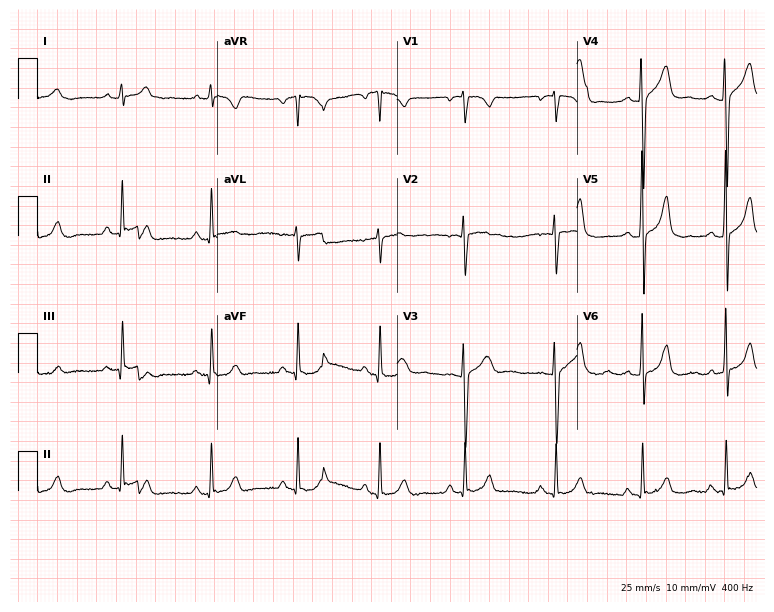
ECG (7.3-second recording at 400 Hz) — a woman, 28 years old. Labelled as a normal ECG.